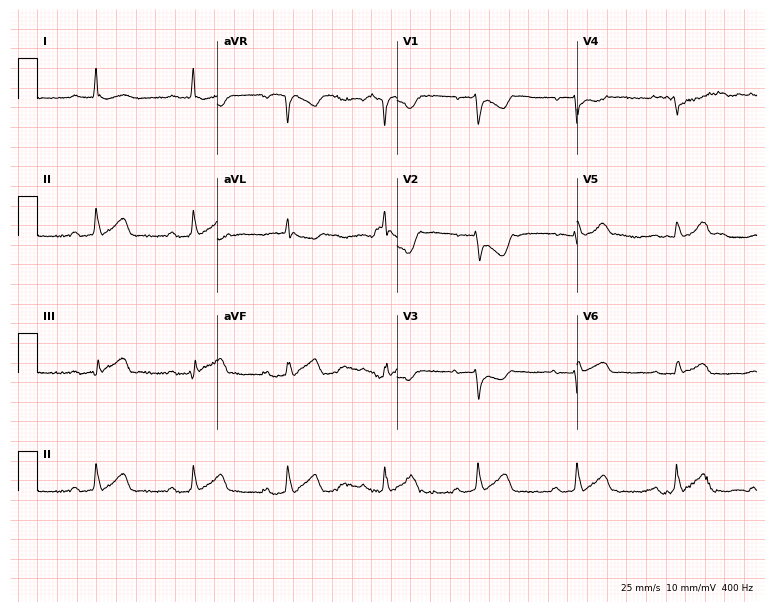
Electrocardiogram, an 85-year-old man. Interpretation includes first-degree AV block.